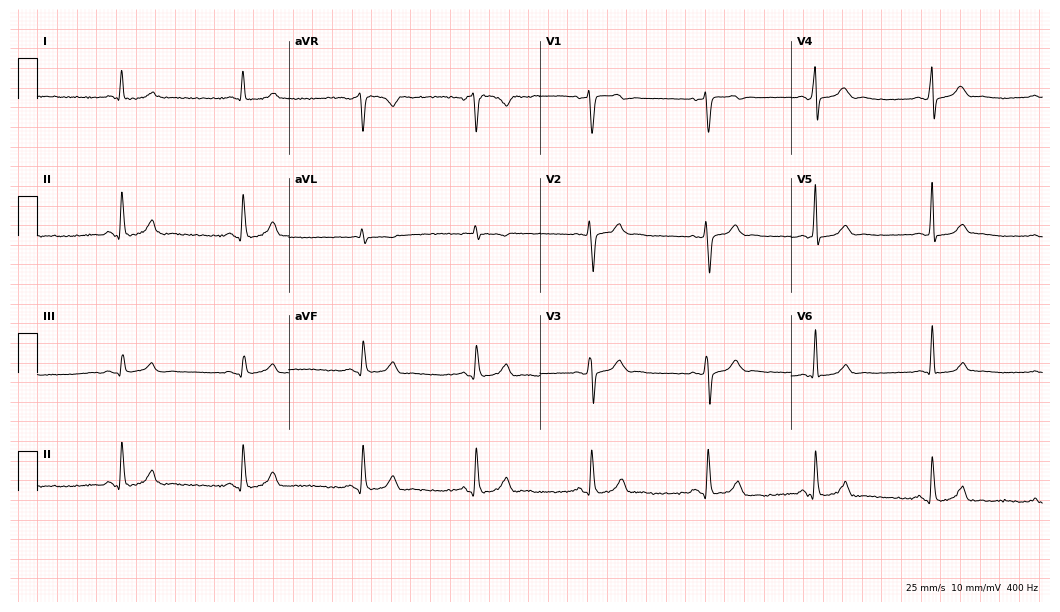
Standard 12-lead ECG recorded from a man, 43 years old. The tracing shows sinus bradycardia (a sinus rate of 50 beats per minute or less).